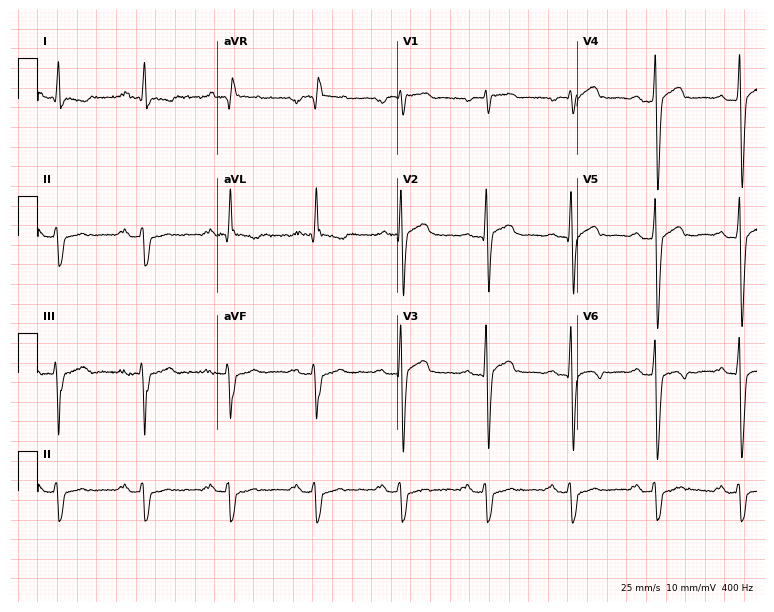
Electrocardiogram, a 63-year-old male. Interpretation includes first-degree AV block.